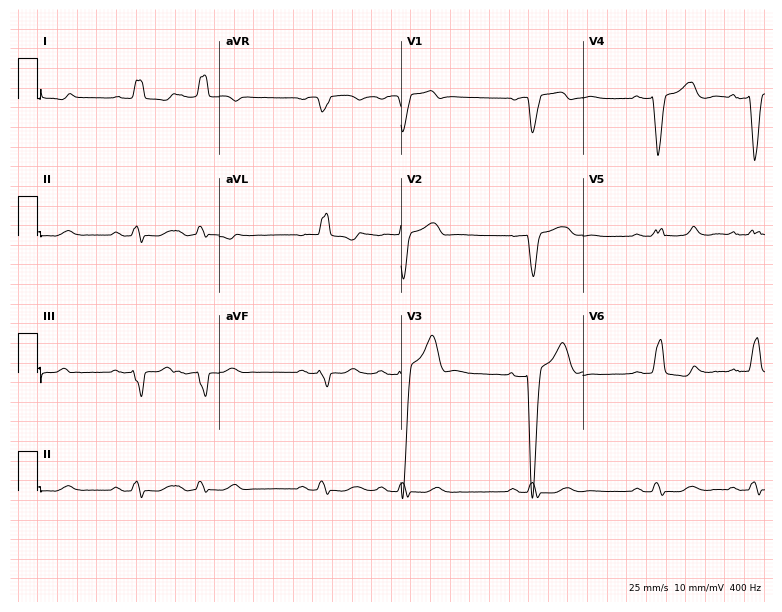
Resting 12-lead electrocardiogram. Patient: an 80-year-old man. None of these six findings is recorded: first-degree AV block, right bundle branch block, left bundle branch block, sinus bradycardia, atrial fibrillation, sinus tachycardia. Findings outside these six are not listed.